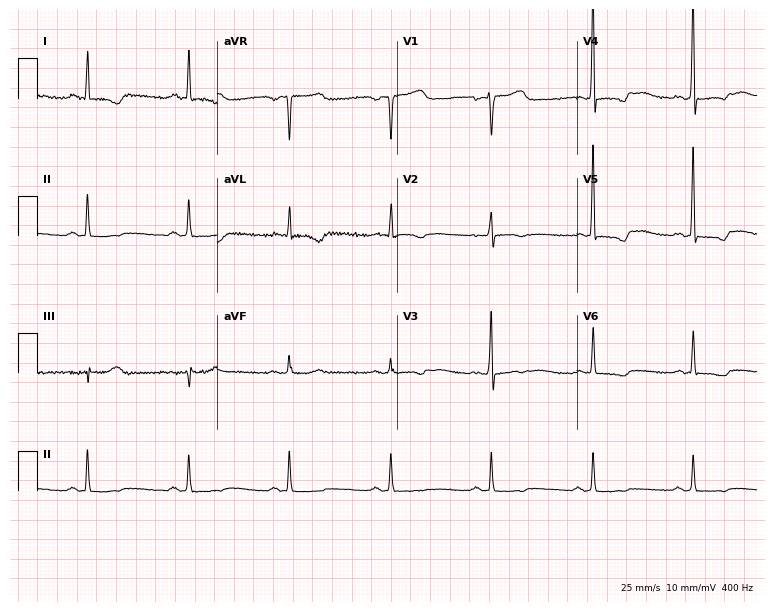
ECG (7.3-second recording at 400 Hz) — a 68-year-old male patient. Screened for six findings — first-degree AV block, right bundle branch block, left bundle branch block, sinus bradycardia, atrial fibrillation, sinus tachycardia — none is recorded.